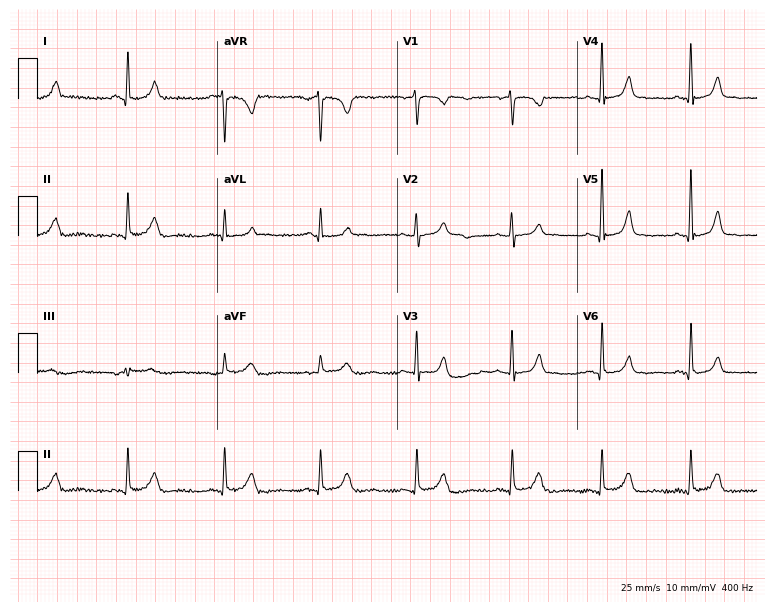
ECG (7.3-second recording at 400 Hz) — a 59-year-old female. Labelled as a normal ECG.